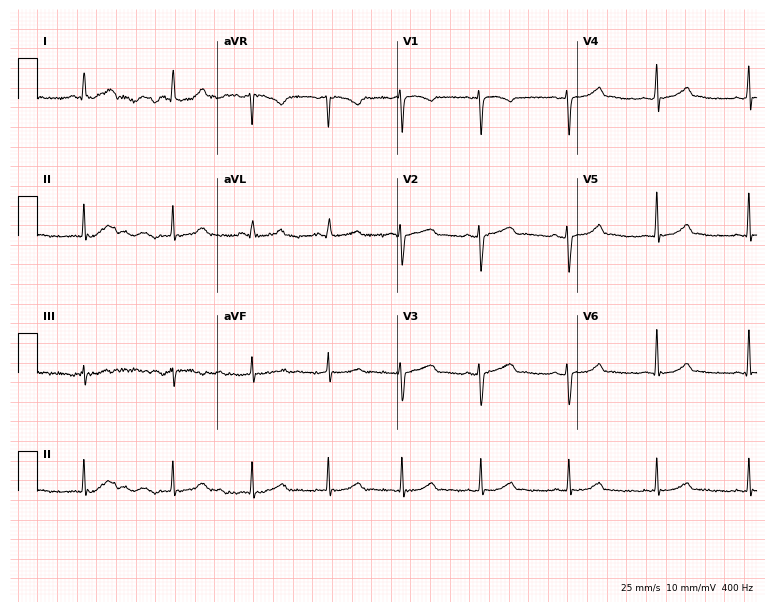
12-lead ECG from a 31-year-old female (7.3-second recording at 400 Hz). Recorded interpretation: within normal limits.